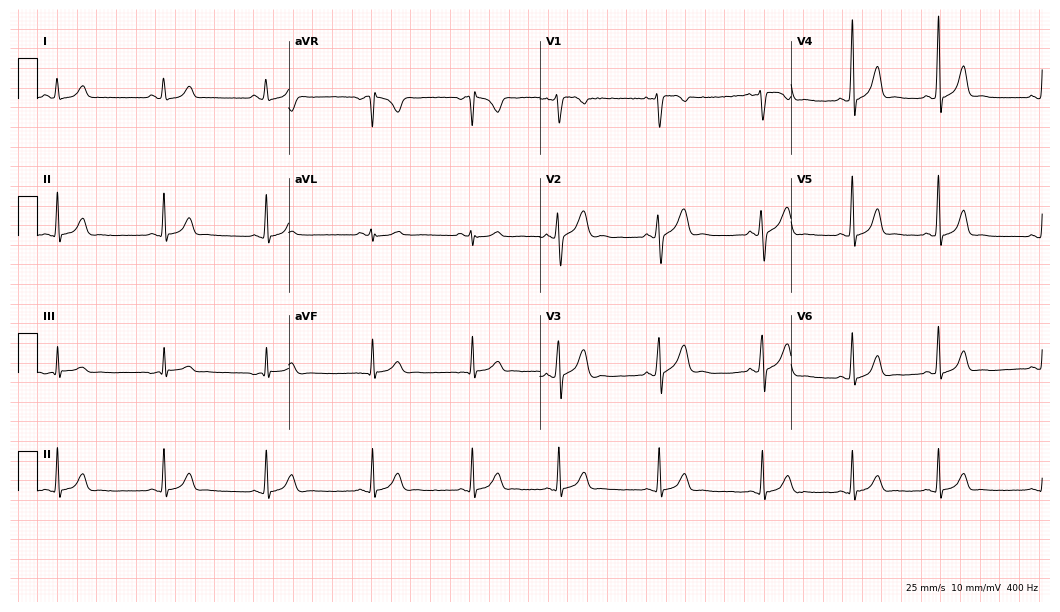
ECG (10.2-second recording at 400 Hz) — a woman, 21 years old. Screened for six findings — first-degree AV block, right bundle branch block, left bundle branch block, sinus bradycardia, atrial fibrillation, sinus tachycardia — none is recorded. Findings outside these six are not listed.